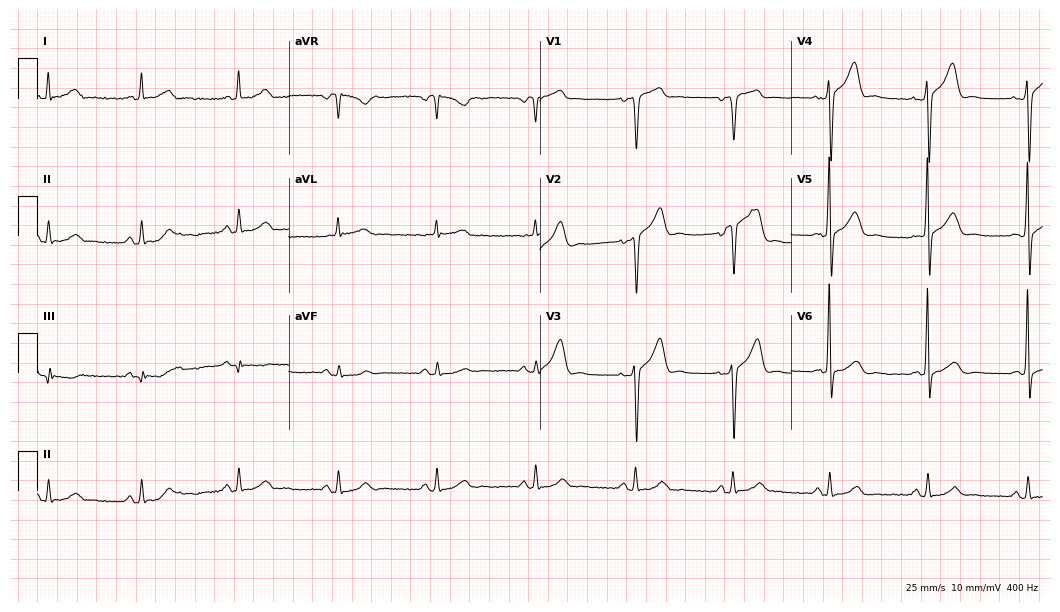
Standard 12-lead ECG recorded from a man, 59 years old. Read as a normal ECG.